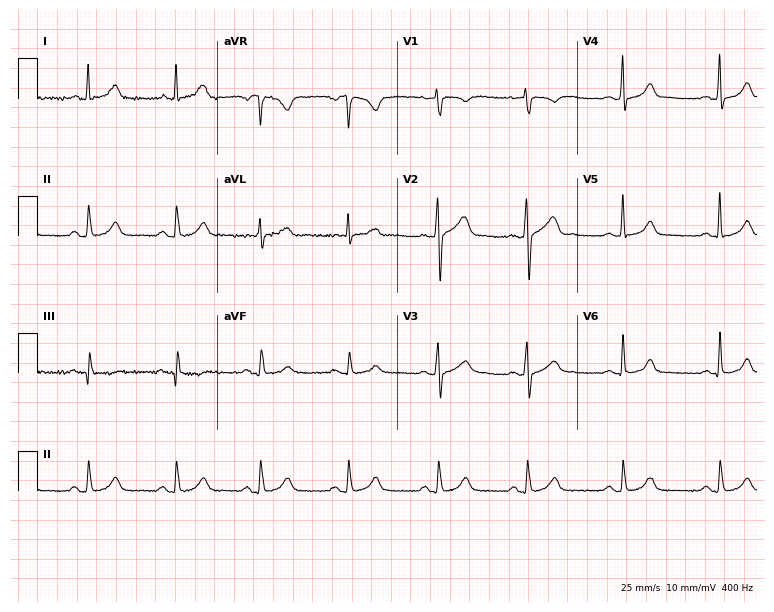
12-lead ECG from a male, 40 years old (7.3-second recording at 400 Hz). Recorded interpretation: within normal limits.